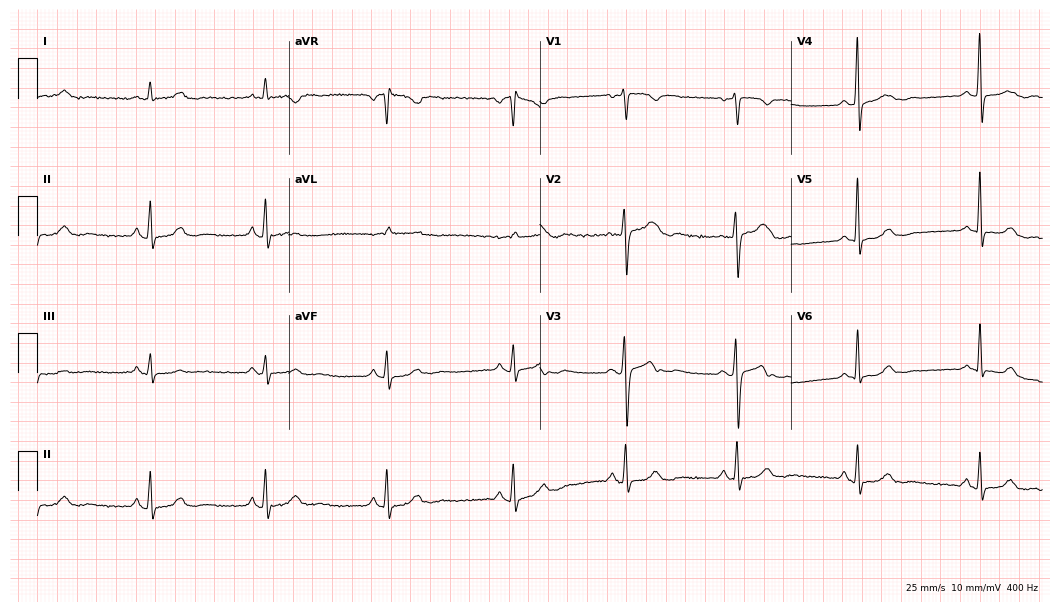
12-lead ECG from a 67-year-old female patient (10.2-second recording at 400 Hz). No first-degree AV block, right bundle branch block, left bundle branch block, sinus bradycardia, atrial fibrillation or sinus tachycardia recorded for this tracing.